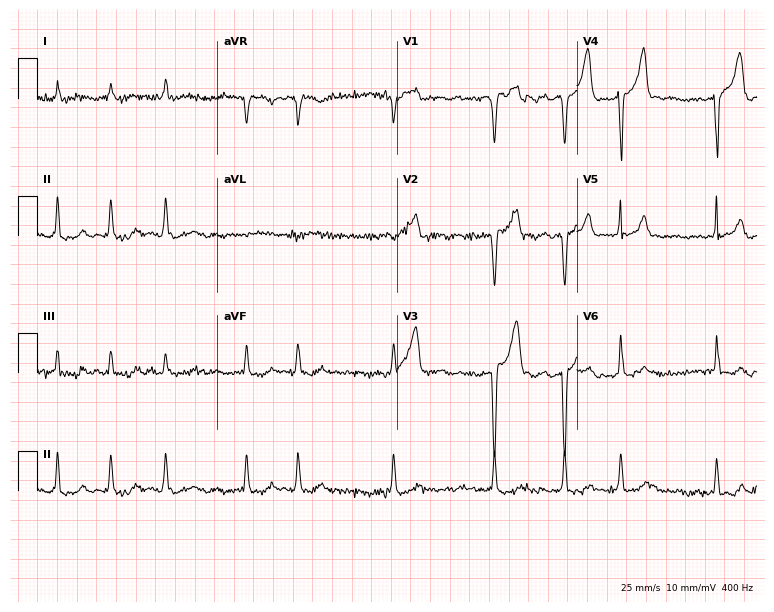
Resting 12-lead electrocardiogram. Patient: an 84-year-old woman. The tracing shows atrial fibrillation.